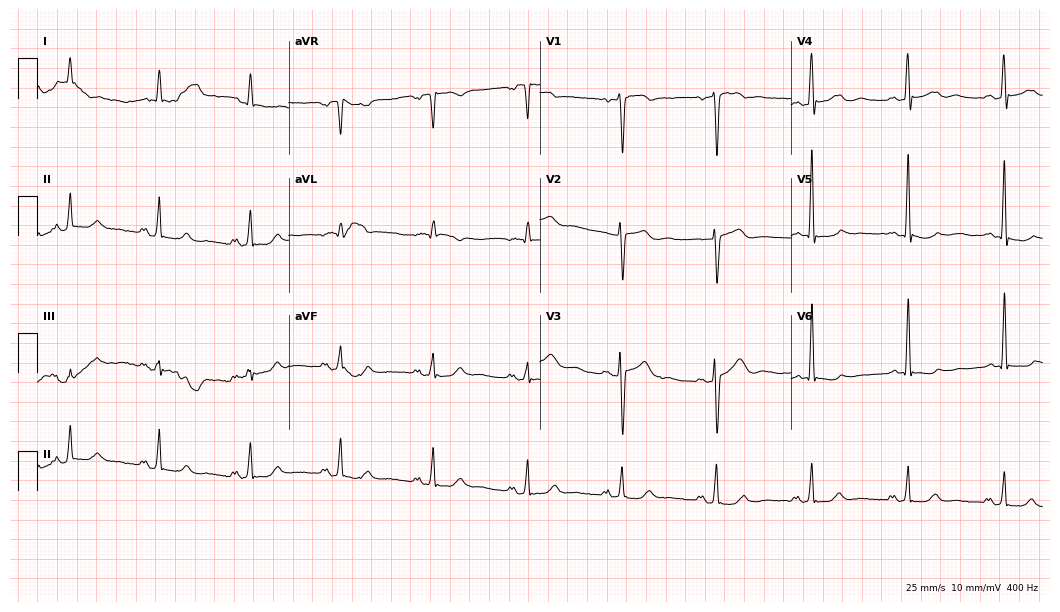
Electrocardiogram (10.2-second recording at 400 Hz), an 82-year-old male patient. Of the six screened findings (first-degree AV block, right bundle branch block, left bundle branch block, sinus bradycardia, atrial fibrillation, sinus tachycardia), none is recorded. Other findings, if any, are not listed.